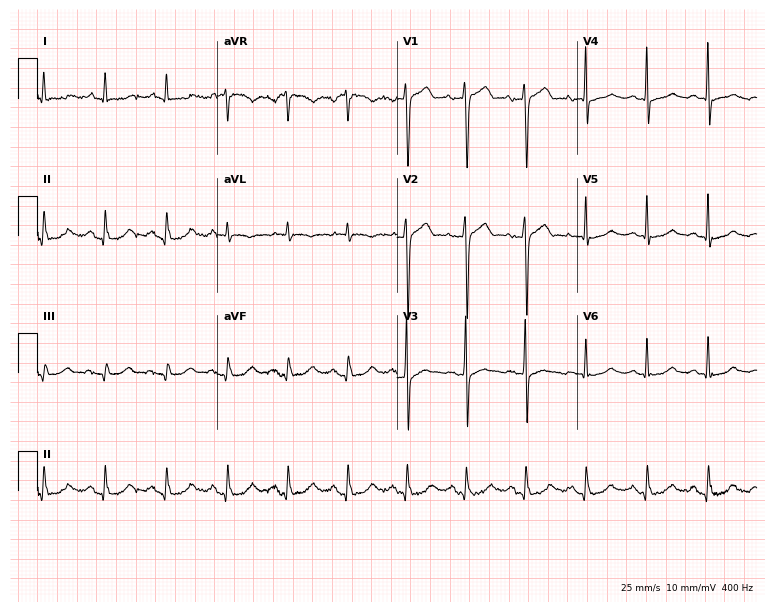
ECG (7.3-second recording at 400 Hz) — a 71-year-old female. Labelled as a normal ECG.